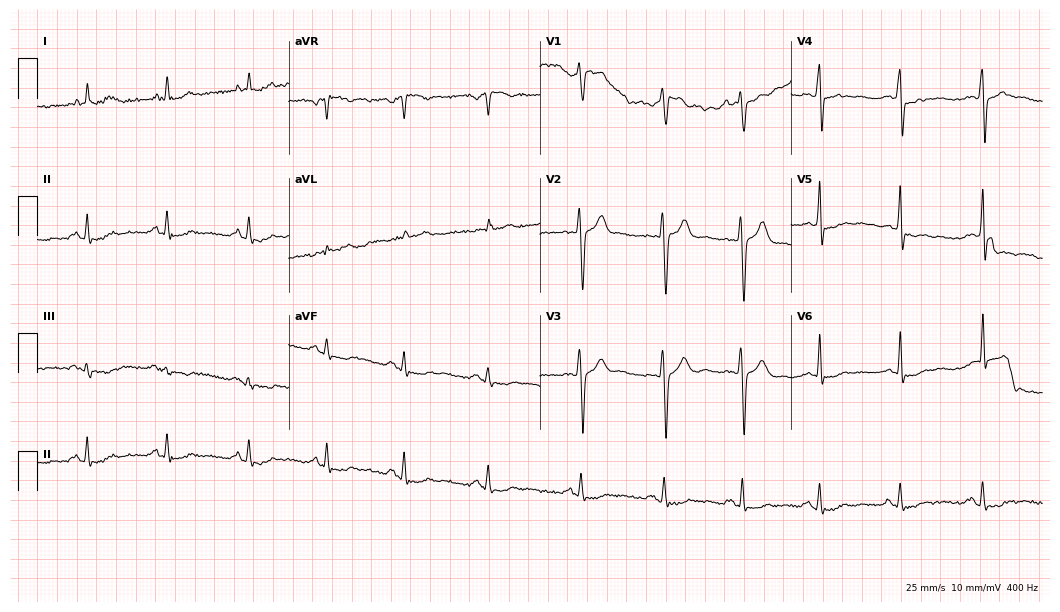
12-lead ECG from a man, 33 years old (10.2-second recording at 400 Hz). No first-degree AV block, right bundle branch block, left bundle branch block, sinus bradycardia, atrial fibrillation or sinus tachycardia recorded for this tracing. Findings outside these six are not listed.